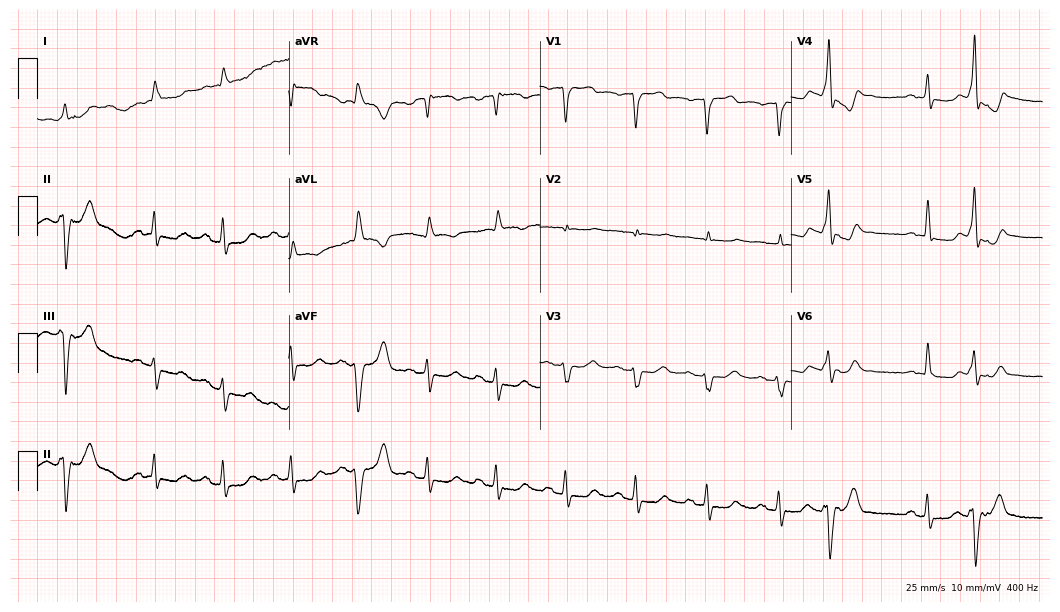
Resting 12-lead electrocardiogram. Patient: a man, 78 years old. None of these six findings is recorded: first-degree AV block, right bundle branch block, left bundle branch block, sinus bradycardia, atrial fibrillation, sinus tachycardia.